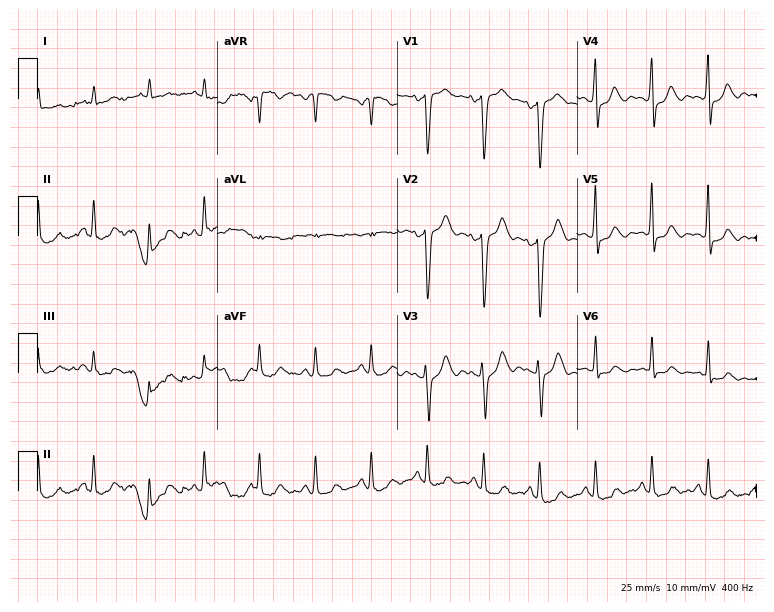
Electrocardiogram, a male patient, 79 years old. Interpretation includes sinus tachycardia (a sinus rate of 100 beats per minute or more).